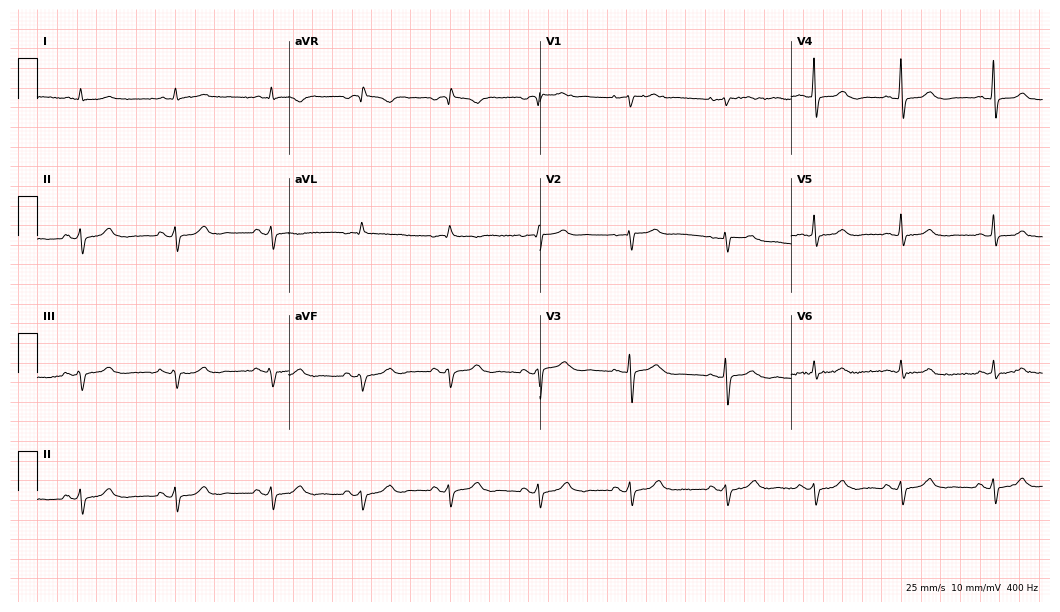
12-lead ECG from a 63-year-old female patient. No first-degree AV block, right bundle branch block, left bundle branch block, sinus bradycardia, atrial fibrillation or sinus tachycardia recorded for this tracing.